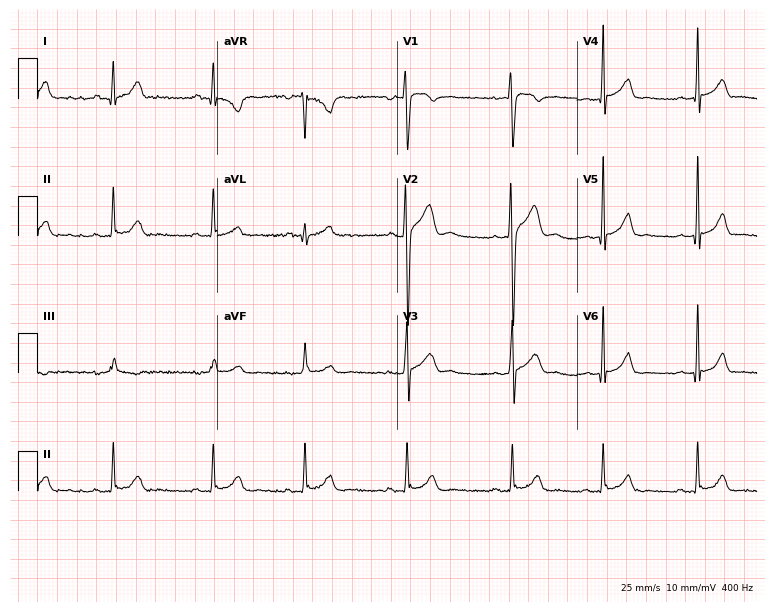
Resting 12-lead electrocardiogram (7.3-second recording at 400 Hz). Patient: a 20-year-old male. None of these six findings is recorded: first-degree AV block, right bundle branch block, left bundle branch block, sinus bradycardia, atrial fibrillation, sinus tachycardia. Only these six findings were labelled.